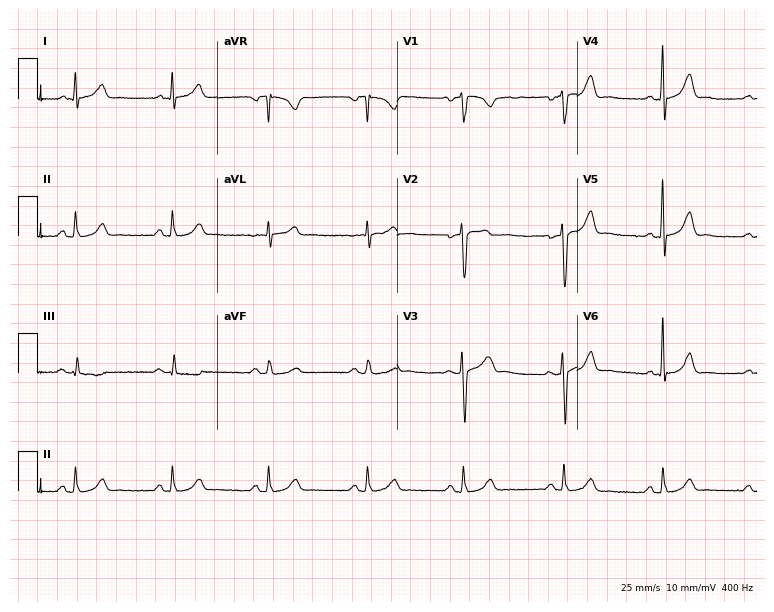
12-lead ECG from a male patient, 51 years old (7.3-second recording at 400 Hz). Recorded interpretation: within normal limits.